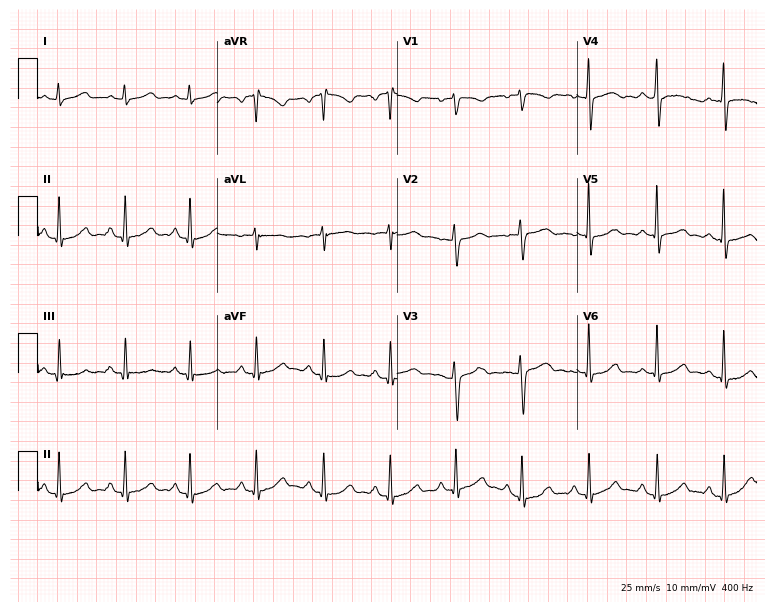
ECG (7.3-second recording at 400 Hz) — a 30-year-old female patient. Screened for six findings — first-degree AV block, right bundle branch block, left bundle branch block, sinus bradycardia, atrial fibrillation, sinus tachycardia — none is recorded. Other findings, if any, are not listed.